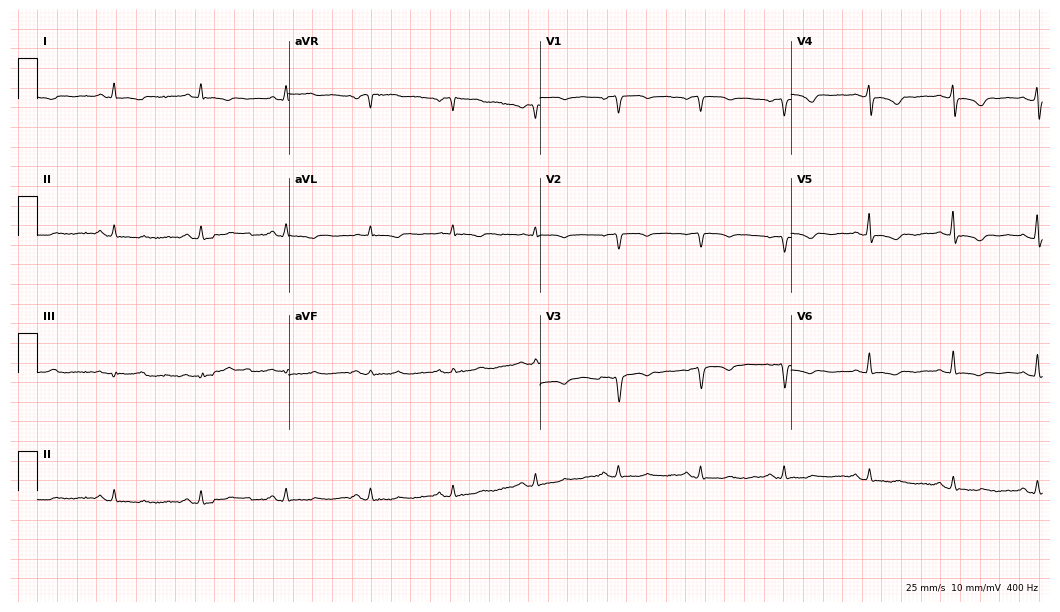
ECG — a woman, 61 years old. Screened for six findings — first-degree AV block, right bundle branch block (RBBB), left bundle branch block (LBBB), sinus bradycardia, atrial fibrillation (AF), sinus tachycardia — none is recorded.